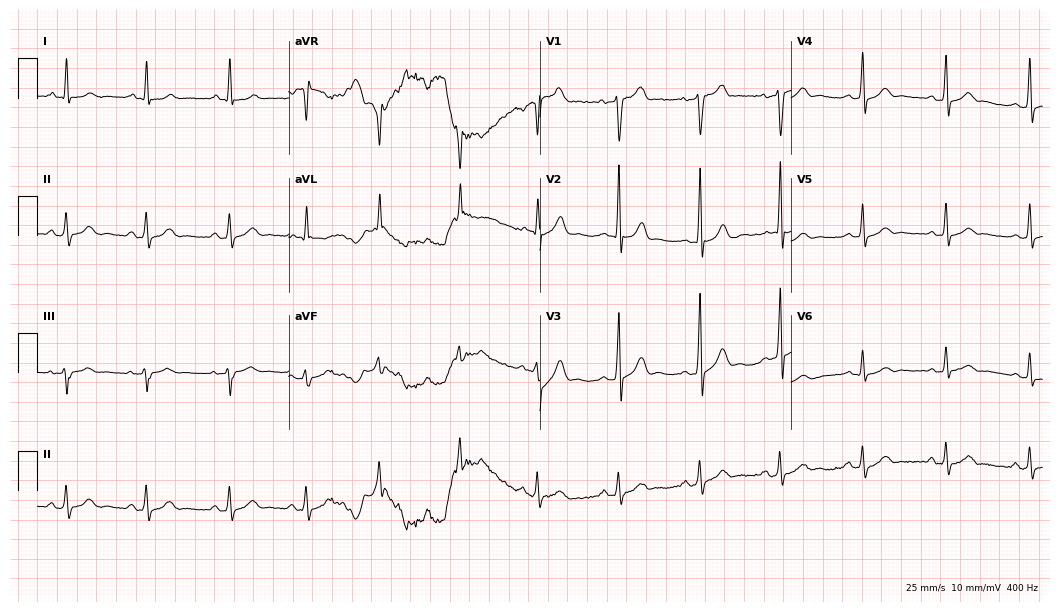
12-lead ECG from a 36-year-old male (10.2-second recording at 400 Hz). No first-degree AV block, right bundle branch block (RBBB), left bundle branch block (LBBB), sinus bradycardia, atrial fibrillation (AF) or sinus tachycardia recorded for this tracing. Only these six findings were labelled.